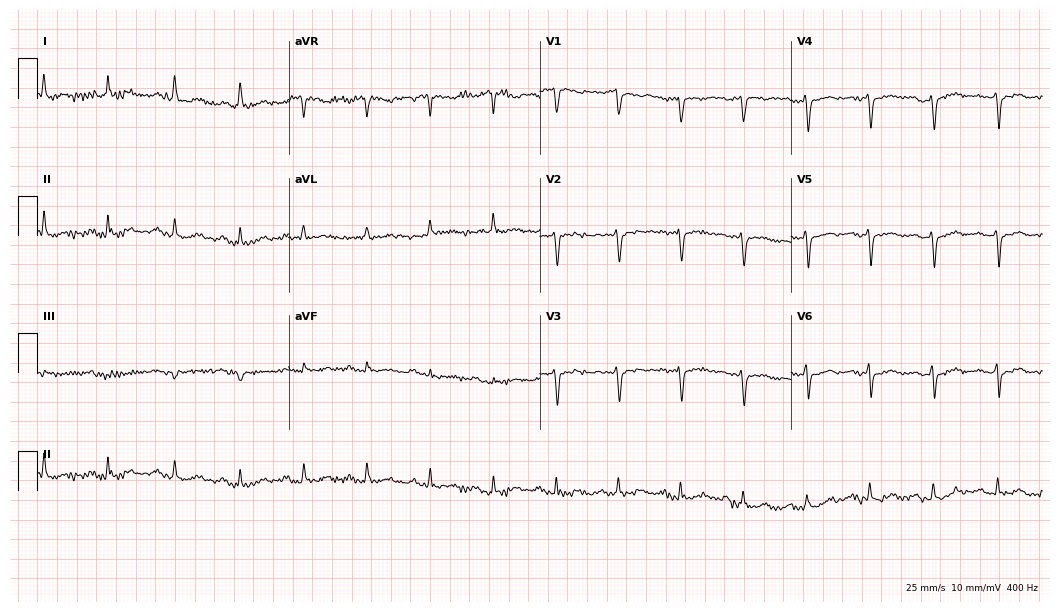
ECG (10.2-second recording at 400 Hz) — a woman, 61 years old. Screened for six findings — first-degree AV block, right bundle branch block (RBBB), left bundle branch block (LBBB), sinus bradycardia, atrial fibrillation (AF), sinus tachycardia — none is recorded. Findings outside these six are not listed.